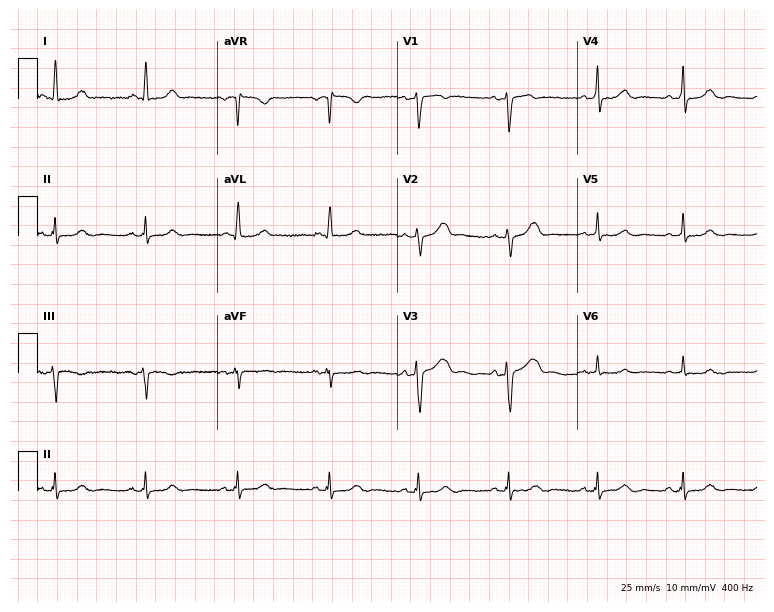
ECG — a 51-year-old female patient. Screened for six findings — first-degree AV block, right bundle branch block, left bundle branch block, sinus bradycardia, atrial fibrillation, sinus tachycardia — none is recorded.